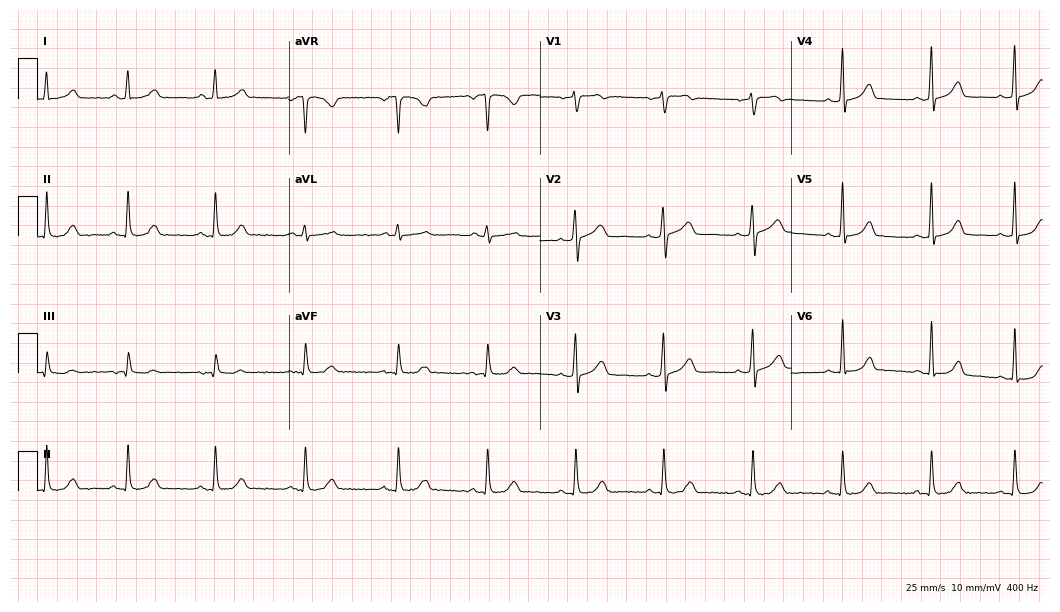
12-lead ECG from a female, 53 years old. No first-degree AV block, right bundle branch block, left bundle branch block, sinus bradycardia, atrial fibrillation or sinus tachycardia recorded for this tracing.